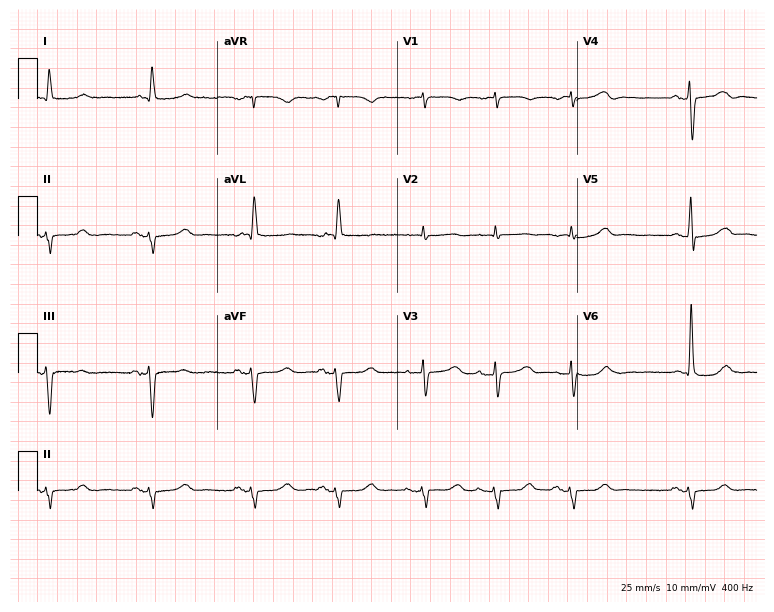
12-lead ECG from a 71-year-old male. Screened for six findings — first-degree AV block, right bundle branch block (RBBB), left bundle branch block (LBBB), sinus bradycardia, atrial fibrillation (AF), sinus tachycardia — none is recorded. Other findings, if any, are not listed.